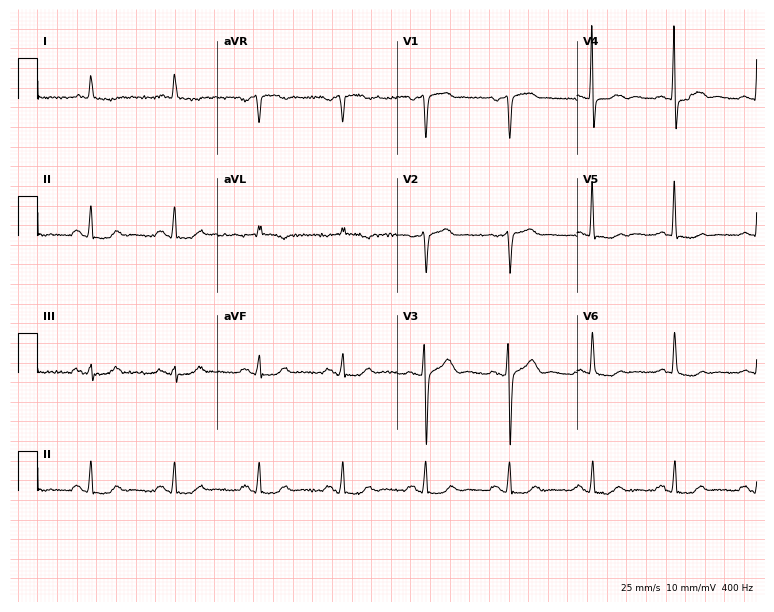
Standard 12-lead ECG recorded from a male, 73 years old. None of these six findings is recorded: first-degree AV block, right bundle branch block, left bundle branch block, sinus bradycardia, atrial fibrillation, sinus tachycardia.